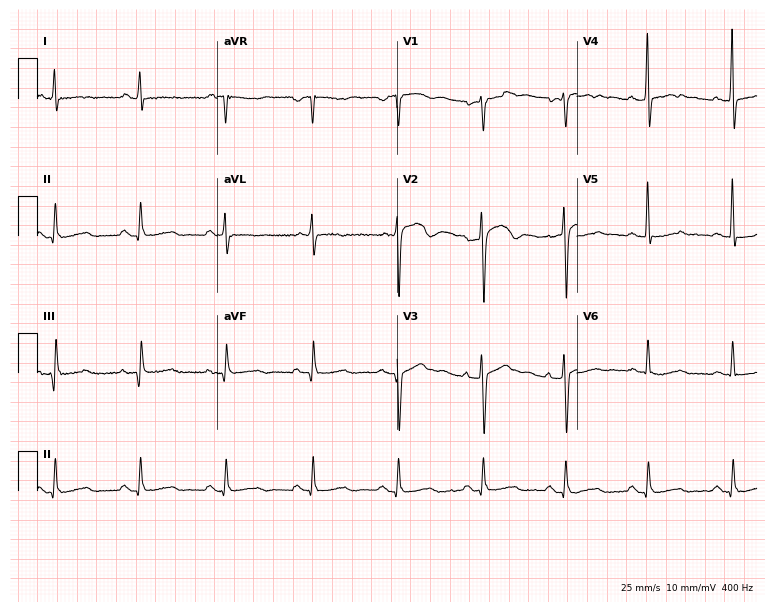
12-lead ECG from a male patient, 71 years old. Screened for six findings — first-degree AV block, right bundle branch block, left bundle branch block, sinus bradycardia, atrial fibrillation, sinus tachycardia — none is recorded.